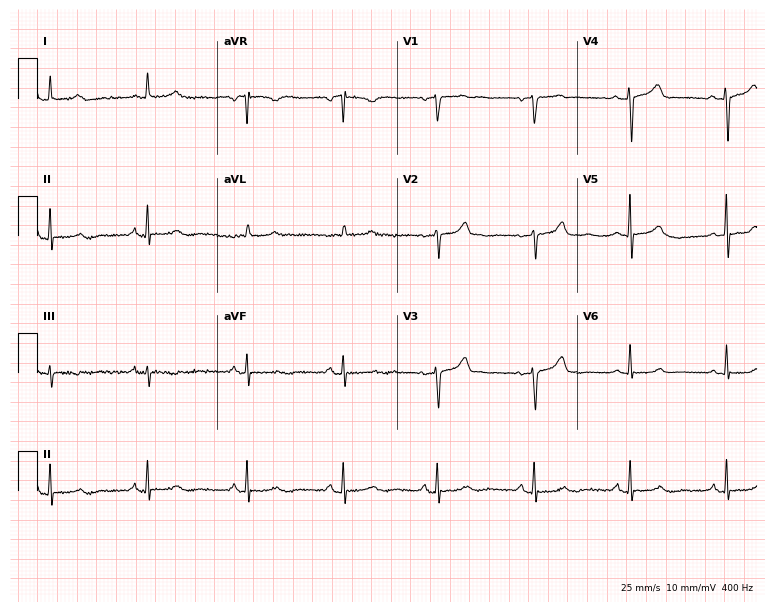
Standard 12-lead ECG recorded from an 85-year-old woman. Read as a normal ECG.